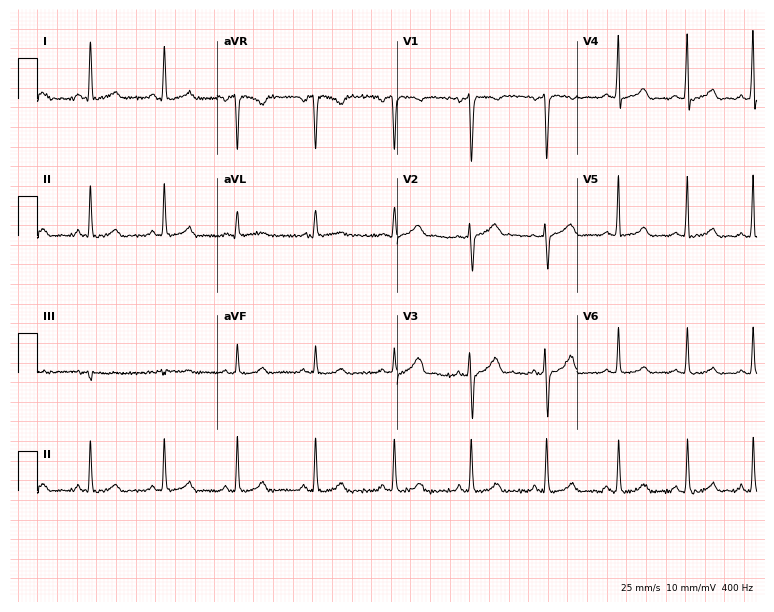
Standard 12-lead ECG recorded from a 36-year-old woman (7.3-second recording at 400 Hz). None of these six findings is recorded: first-degree AV block, right bundle branch block (RBBB), left bundle branch block (LBBB), sinus bradycardia, atrial fibrillation (AF), sinus tachycardia. Other findings, if any, are not listed.